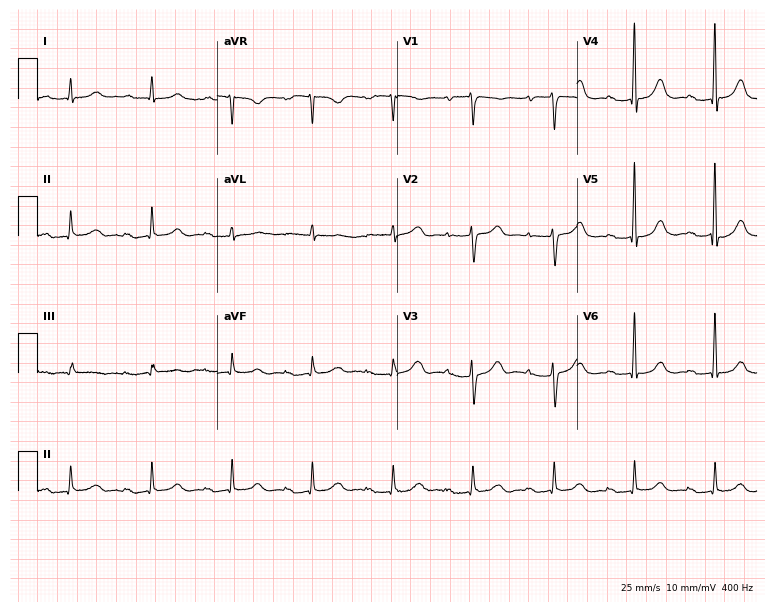
Resting 12-lead electrocardiogram. Patient: a 77-year-old female. The tracing shows first-degree AV block.